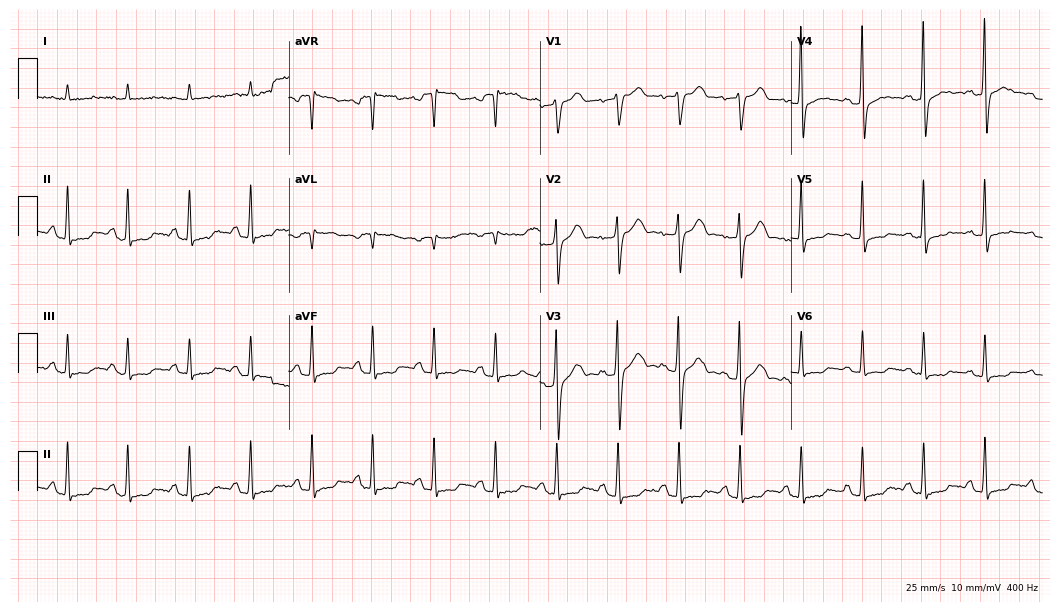
ECG — a male, 84 years old. Screened for six findings — first-degree AV block, right bundle branch block (RBBB), left bundle branch block (LBBB), sinus bradycardia, atrial fibrillation (AF), sinus tachycardia — none is recorded.